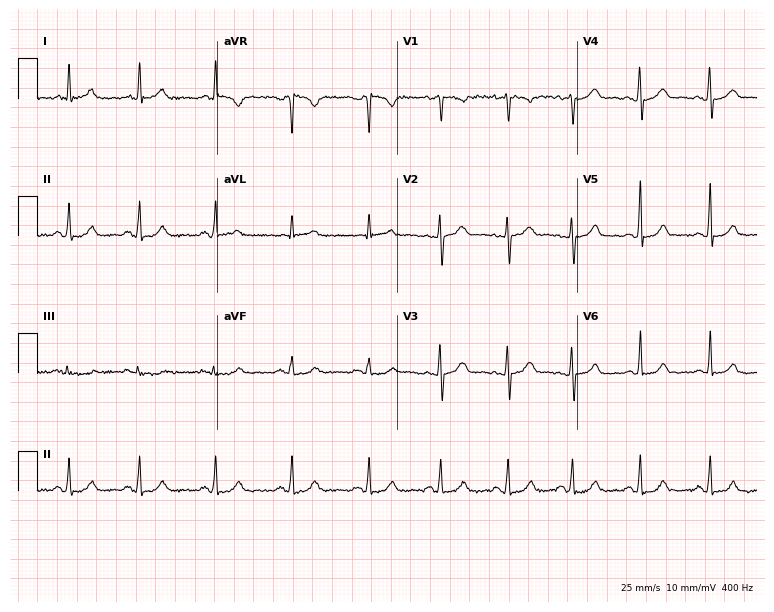
Standard 12-lead ECG recorded from a 36-year-old female (7.3-second recording at 400 Hz). Read as a normal ECG.